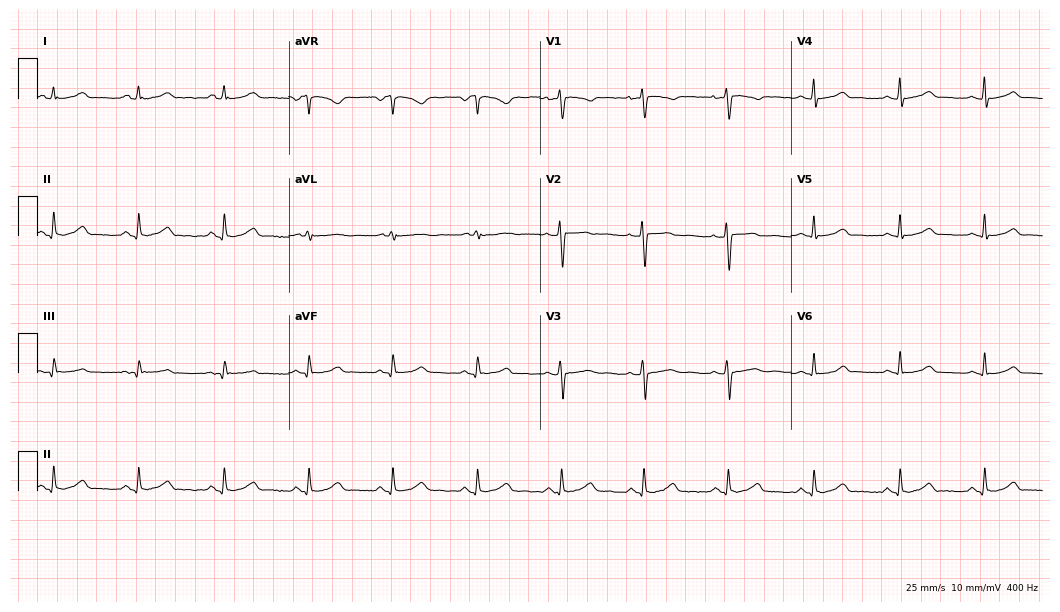
12-lead ECG from a female, 37 years old. Labelled as a normal ECG.